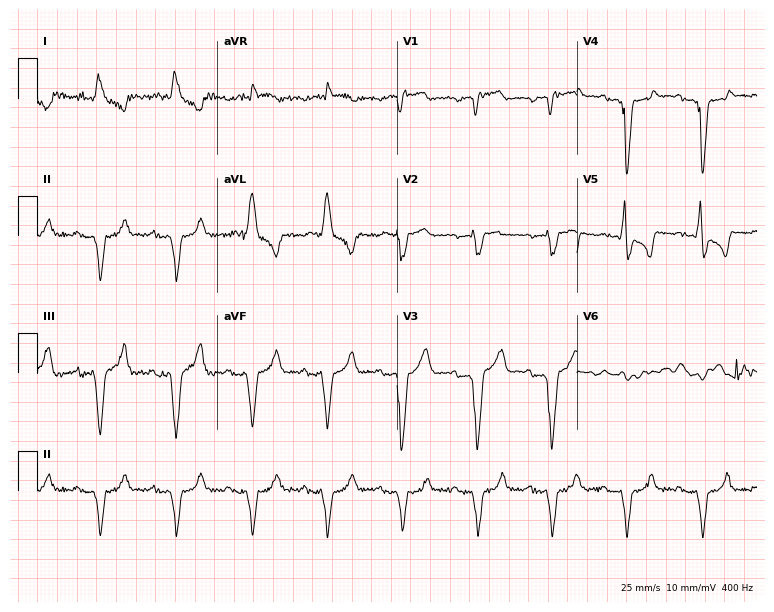
Resting 12-lead electrocardiogram. Patient: a 72-year-old man. The tracing shows left bundle branch block.